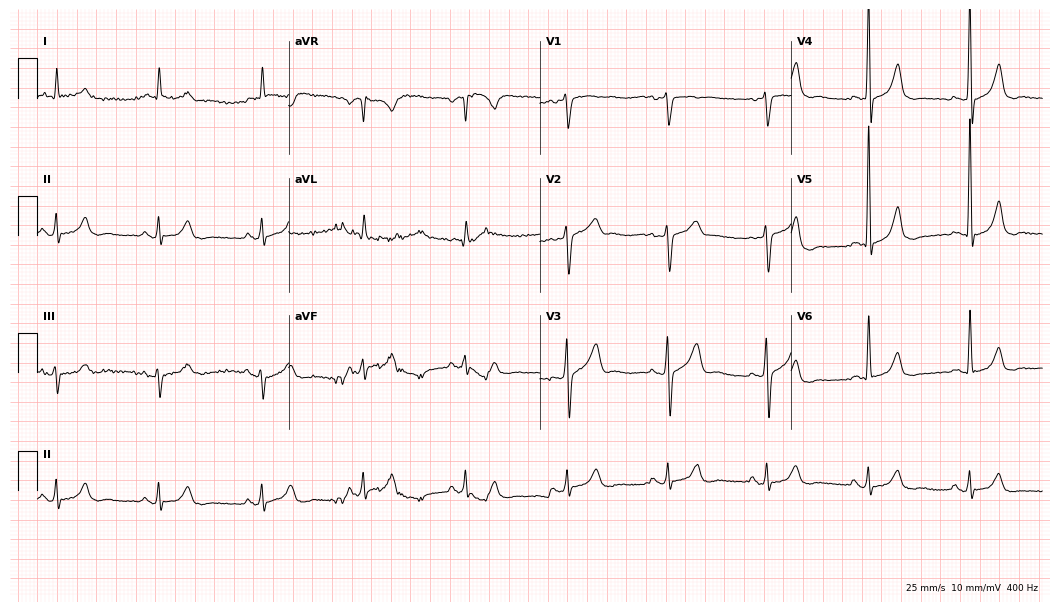
ECG (10.2-second recording at 400 Hz) — an 80-year-old male. Screened for six findings — first-degree AV block, right bundle branch block, left bundle branch block, sinus bradycardia, atrial fibrillation, sinus tachycardia — none is recorded. Only these six findings were labelled.